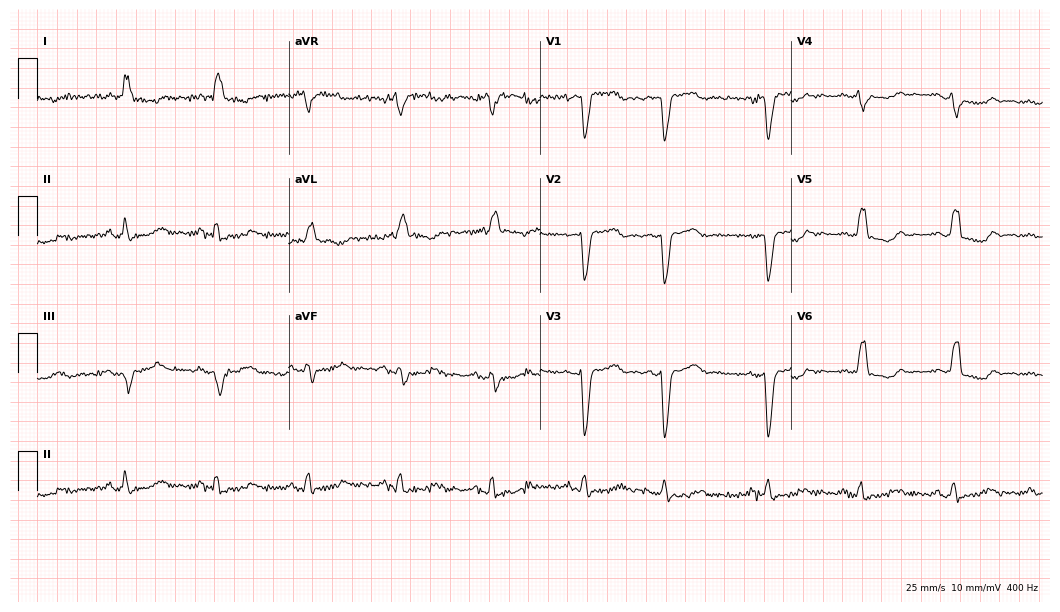
12-lead ECG from a female, 73 years old. No first-degree AV block, right bundle branch block (RBBB), left bundle branch block (LBBB), sinus bradycardia, atrial fibrillation (AF) or sinus tachycardia recorded for this tracing. Findings outside these six are not listed.